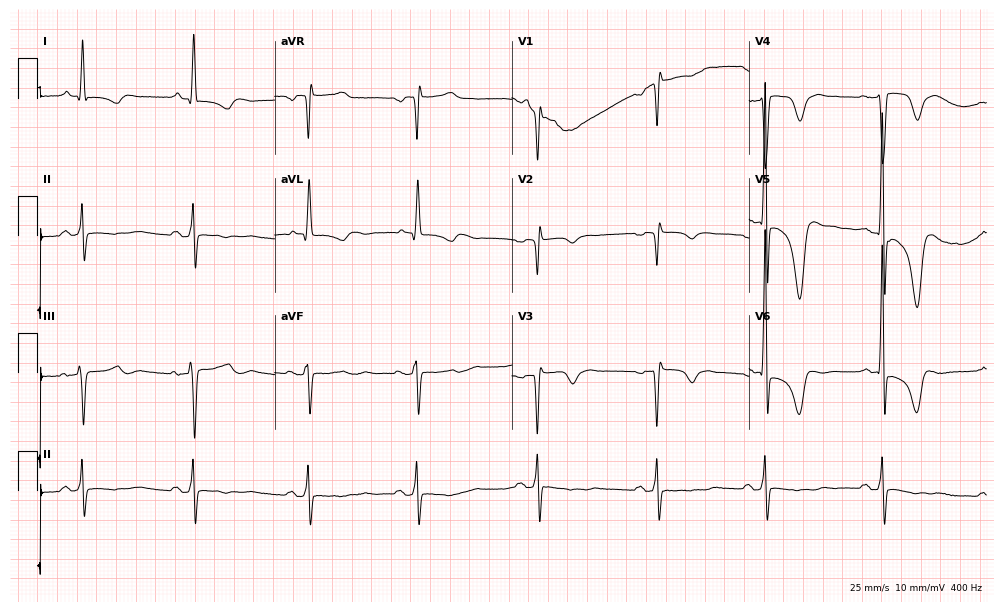
12-lead ECG (9.7-second recording at 400 Hz) from a female patient, 50 years old. Screened for six findings — first-degree AV block, right bundle branch block, left bundle branch block, sinus bradycardia, atrial fibrillation, sinus tachycardia — none is recorded.